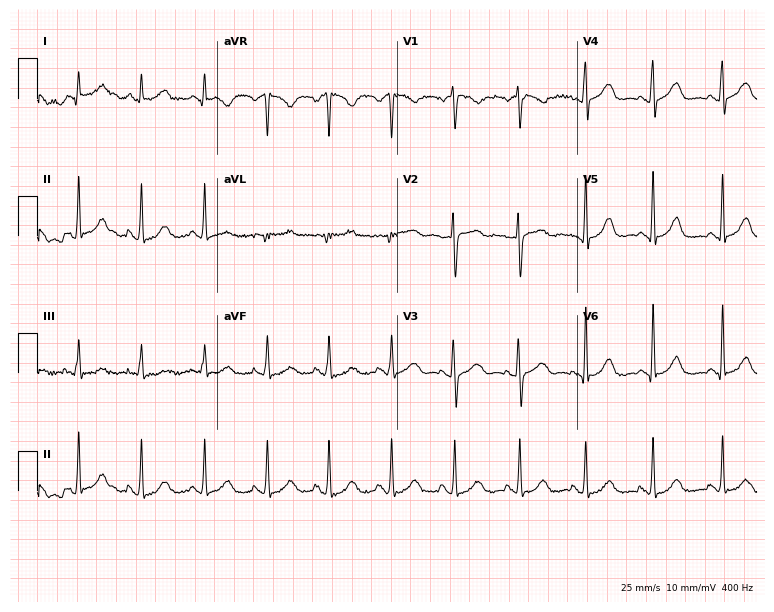
12-lead ECG (7.3-second recording at 400 Hz) from a 40-year-old woman. Labelled as a normal ECG.